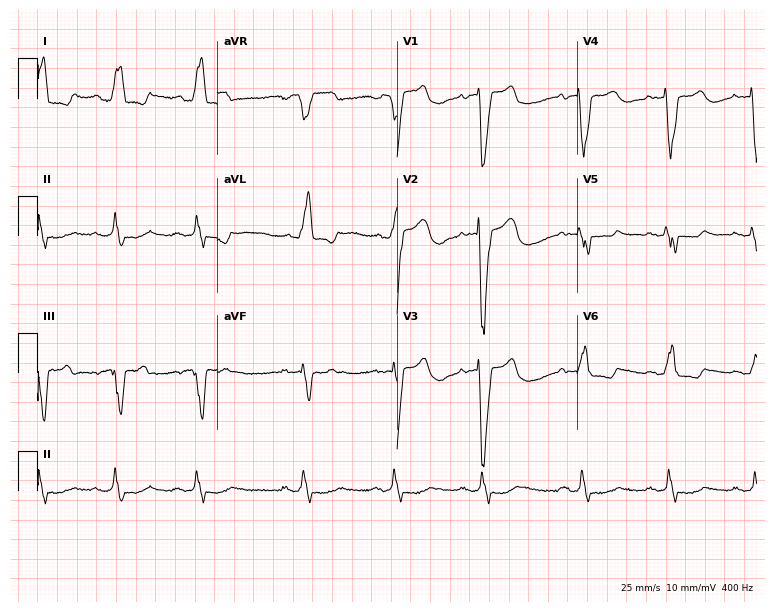
Standard 12-lead ECG recorded from a female, 82 years old (7.3-second recording at 400 Hz). The tracing shows left bundle branch block.